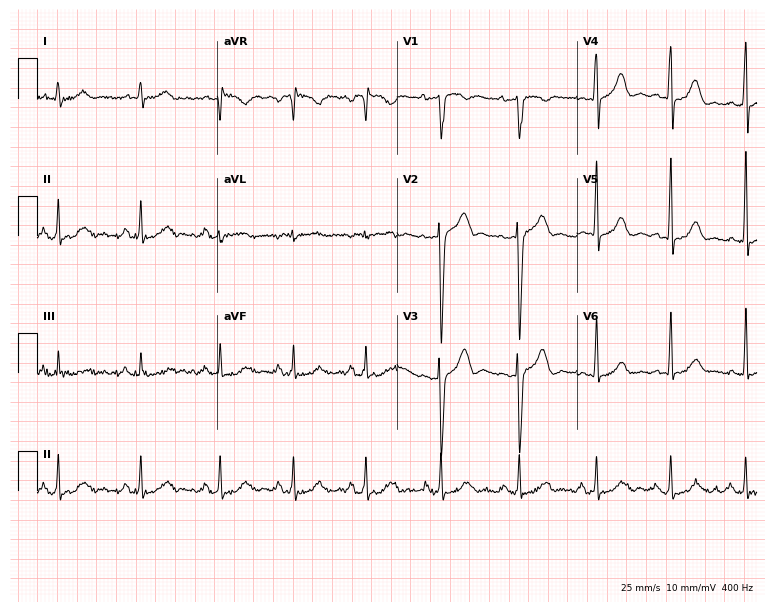
Standard 12-lead ECG recorded from a 37-year-old male patient (7.3-second recording at 400 Hz). Read as a normal ECG.